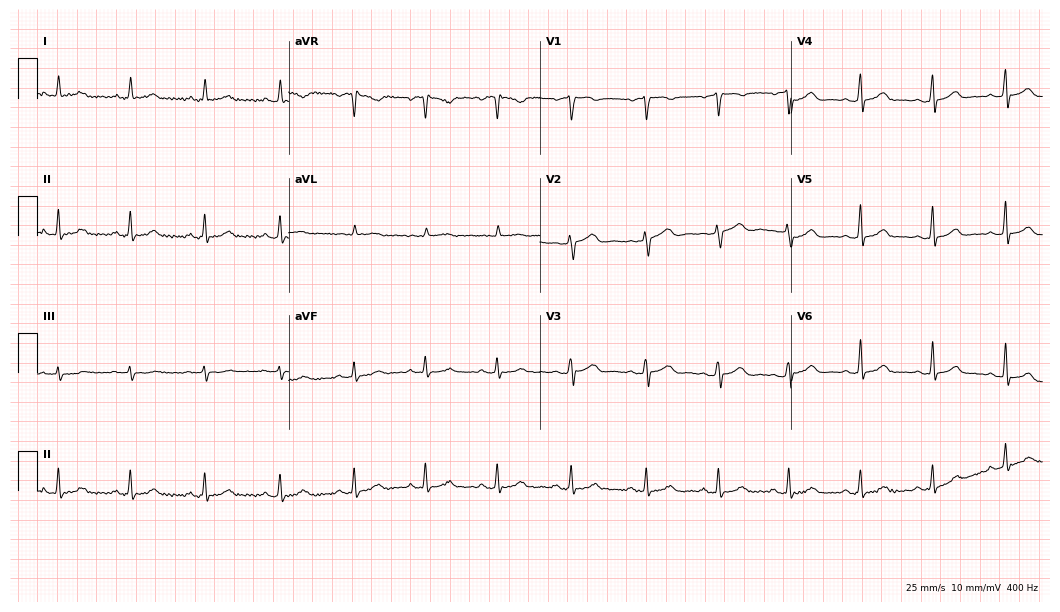
12-lead ECG from a 64-year-old female patient (10.2-second recording at 400 Hz). Recorded interpretation: within normal limits.